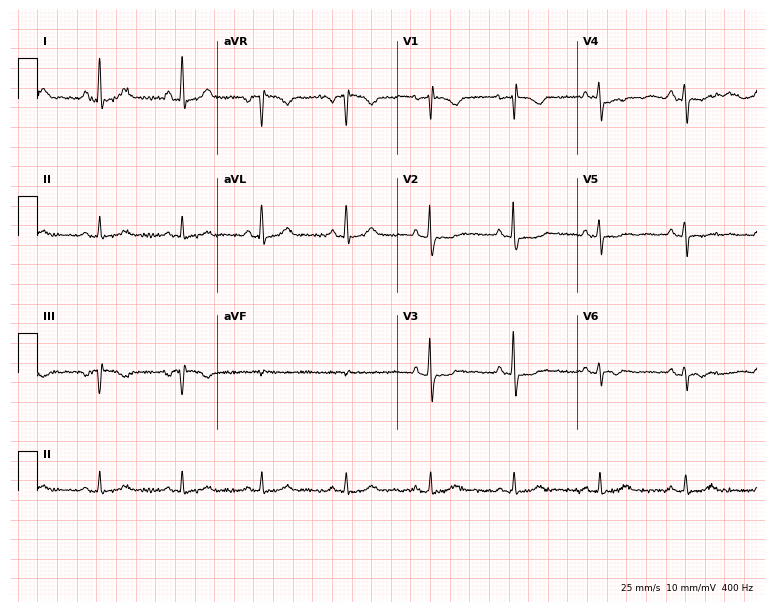
12-lead ECG (7.3-second recording at 400 Hz) from a 65-year-old female. Screened for six findings — first-degree AV block, right bundle branch block, left bundle branch block, sinus bradycardia, atrial fibrillation, sinus tachycardia — none is recorded.